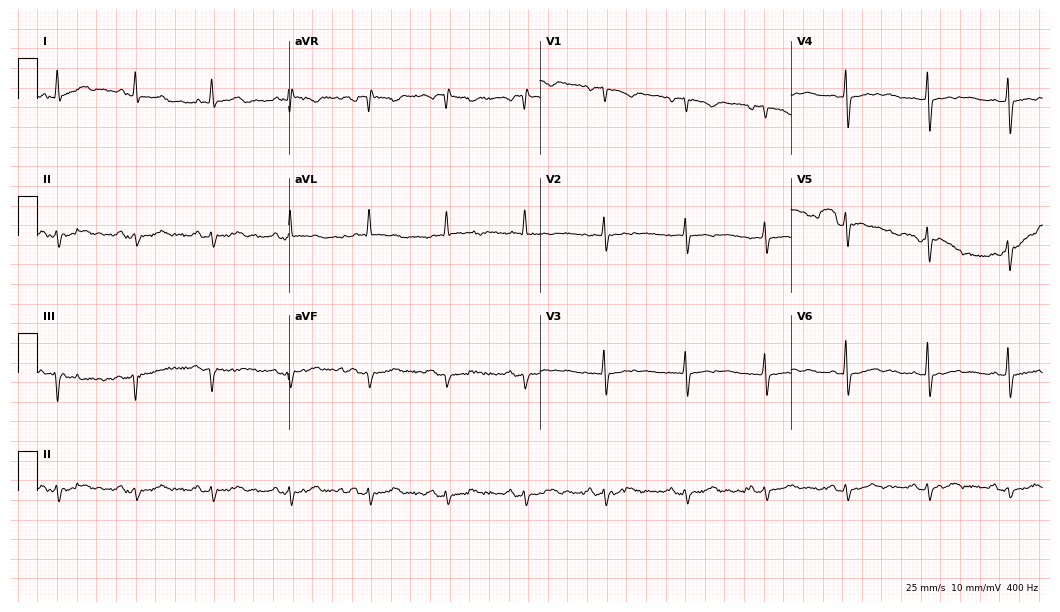
ECG (10.2-second recording at 400 Hz) — a 67-year-old woman. Screened for six findings — first-degree AV block, right bundle branch block, left bundle branch block, sinus bradycardia, atrial fibrillation, sinus tachycardia — none is recorded. Only these six findings were labelled.